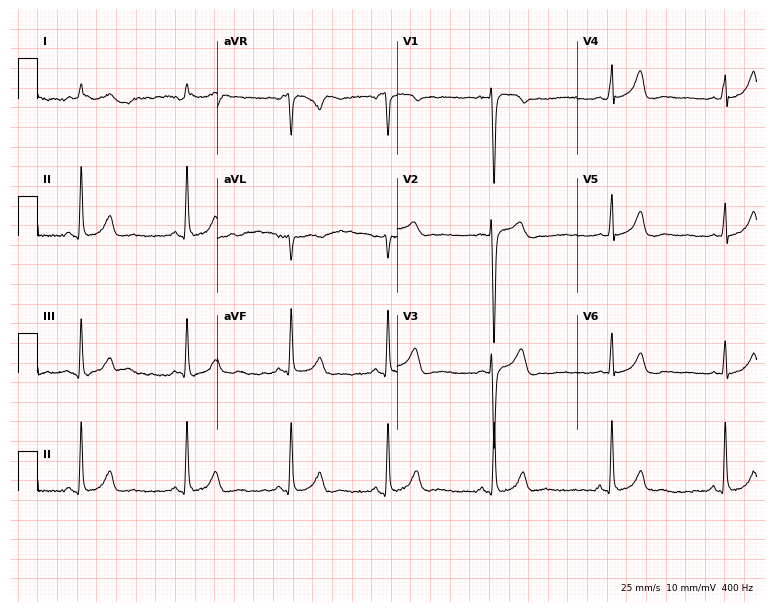
ECG (7.3-second recording at 400 Hz) — a 38-year-old man. Labelled as a normal ECG.